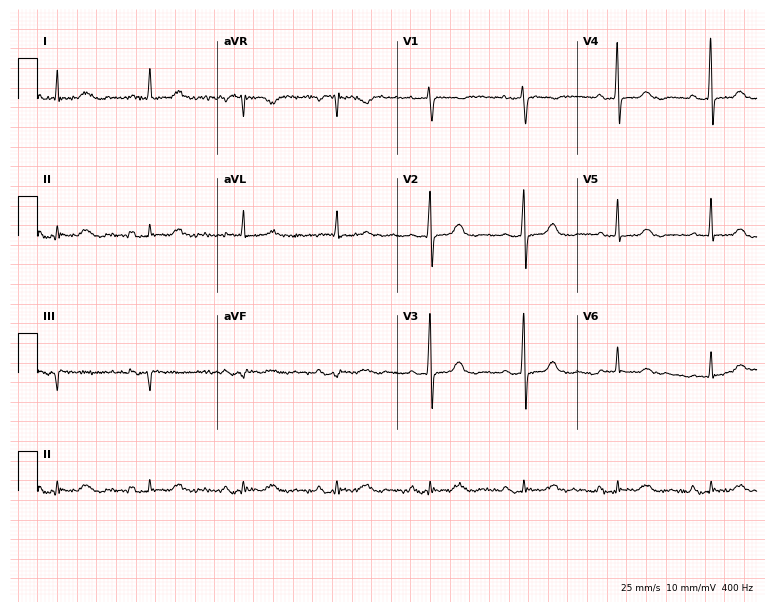
Standard 12-lead ECG recorded from a woman, 76 years old (7.3-second recording at 400 Hz). None of these six findings is recorded: first-degree AV block, right bundle branch block (RBBB), left bundle branch block (LBBB), sinus bradycardia, atrial fibrillation (AF), sinus tachycardia.